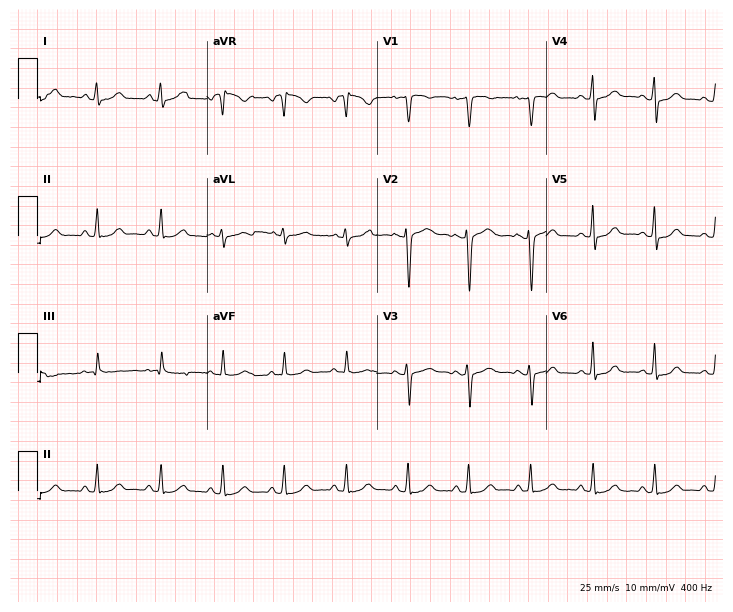
12-lead ECG from a woman, 18 years old. Recorded interpretation: within normal limits.